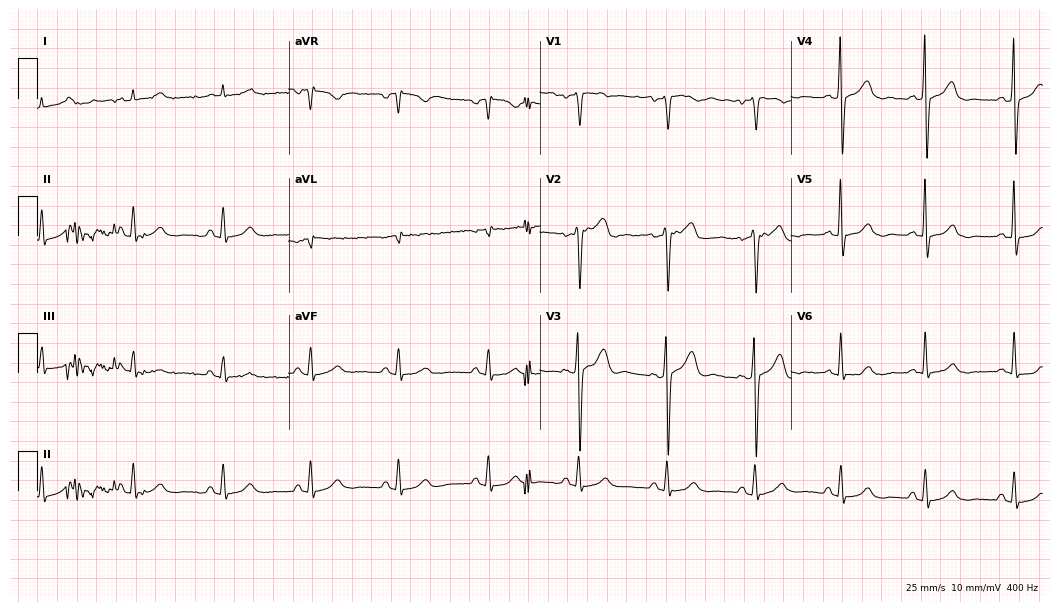
Resting 12-lead electrocardiogram. Patient: a female, 69 years old. Read as a normal ECG.